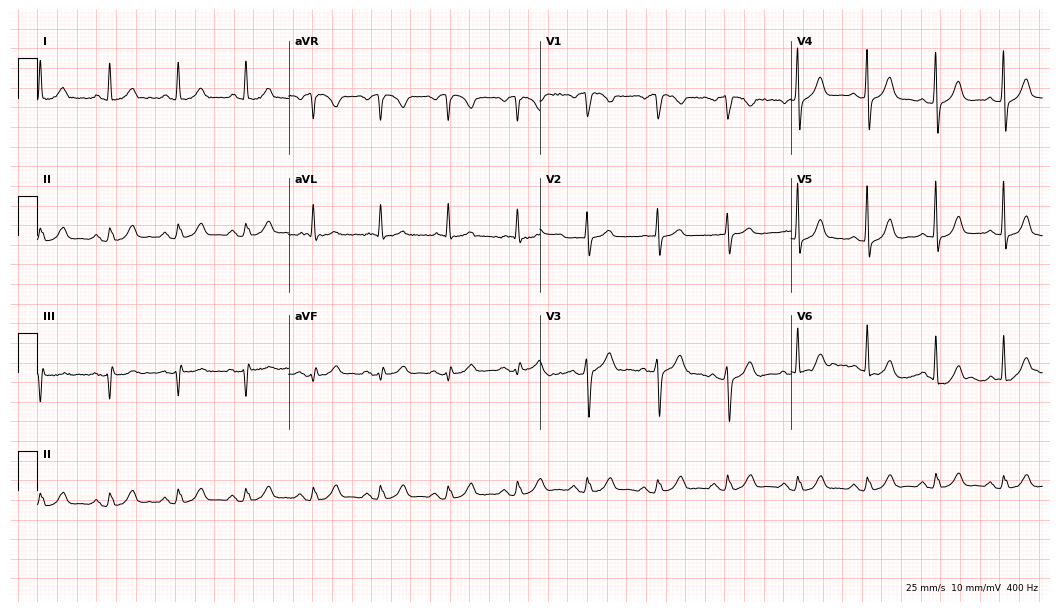
Electrocardiogram, a man, 67 years old. Overall reading on record: normal ECG.